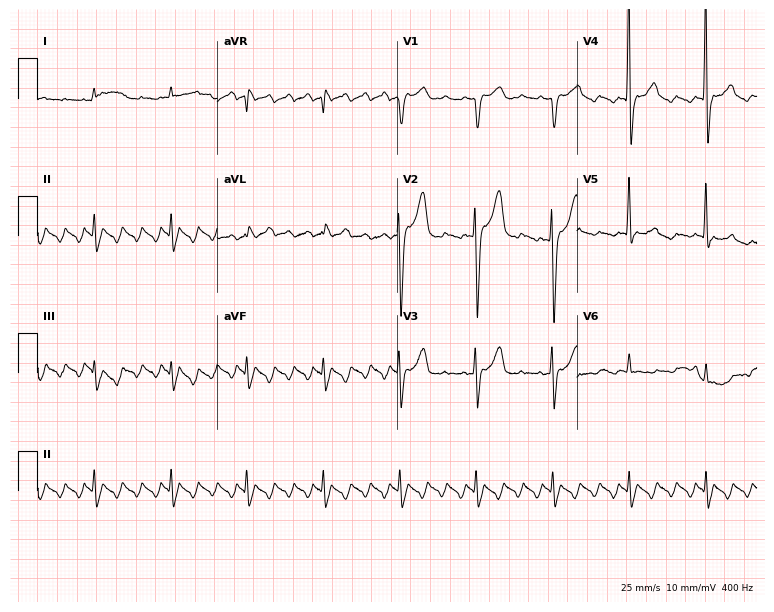
12-lead ECG (7.3-second recording at 400 Hz) from an 85-year-old male patient. Screened for six findings — first-degree AV block, right bundle branch block, left bundle branch block, sinus bradycardia, atrial fibrillation, sinus tachycardia — none is recorded.